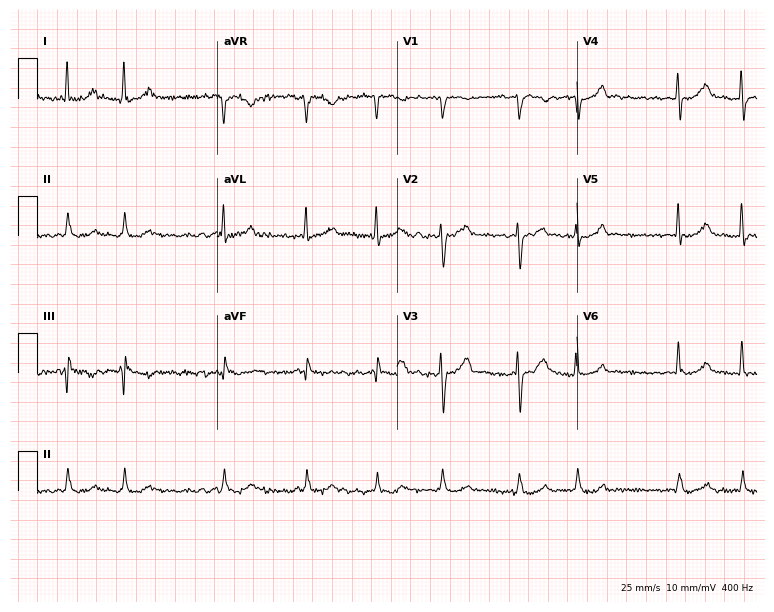
Resting 12-lead electrocardiogram (7.3-second recording at 400 Hz). Patient: a 68-year-old male. The tracing shows atrial fibrillation.